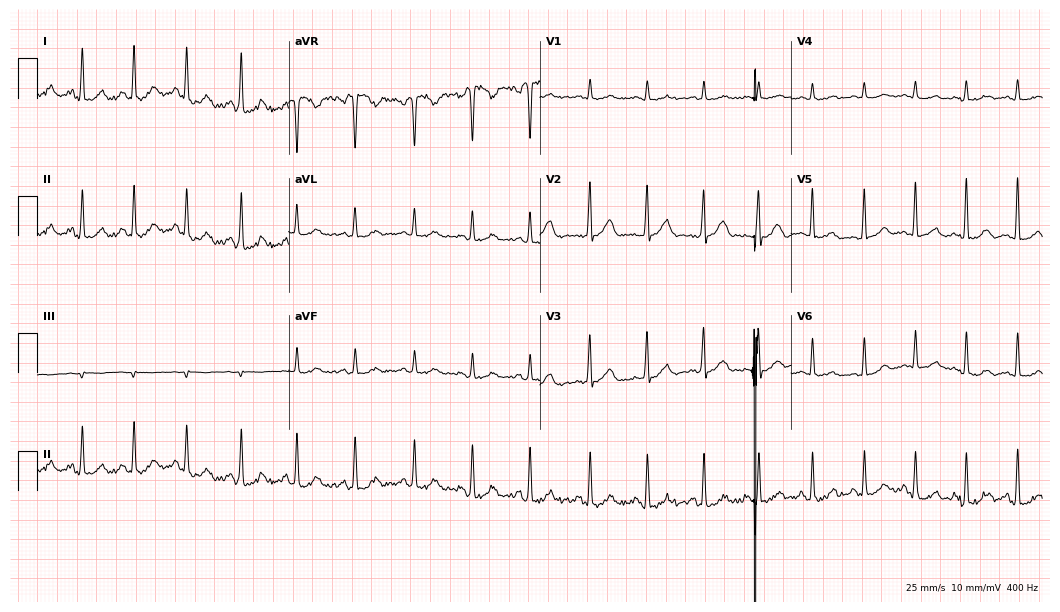
Electrocardiogram, a 55-year-old female. Of the six screened findings (first-degree AV block, right bundle branch block, left bundle branch block, sinus bradycardia, atrial fibrillation, sinus tachycardia), none is recorded.